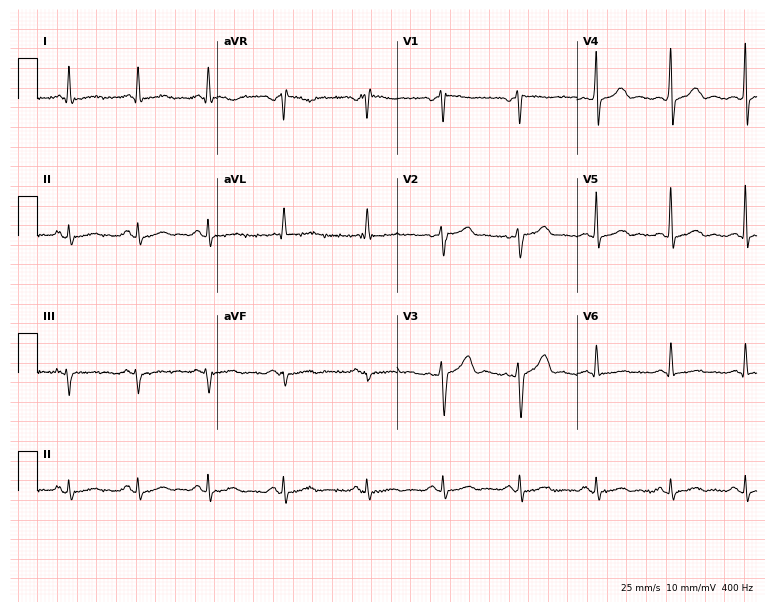
ECG (7.3-second recording at 400 Hz) — a 55-year-old male. Labelled as a normal ECG.